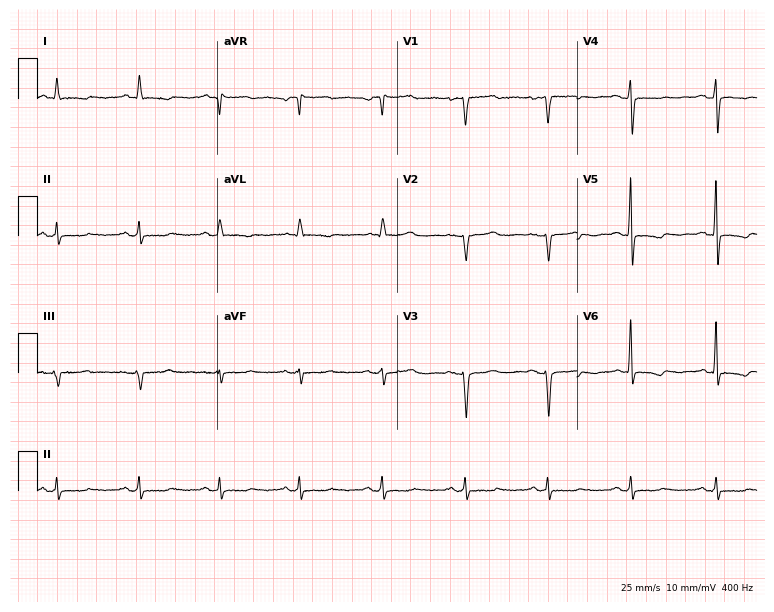
ECG (7.3-second recording at 400 Hz) — a 56-year-old female. Screened for six findings — first-degree AV block, right bundle branch block (RBBB), left bundle branch block (LBBB), sinus bradycardia, atrial fibrillation (AF), sinus tachycardia — none is recorded. Only these six findings were labelled.